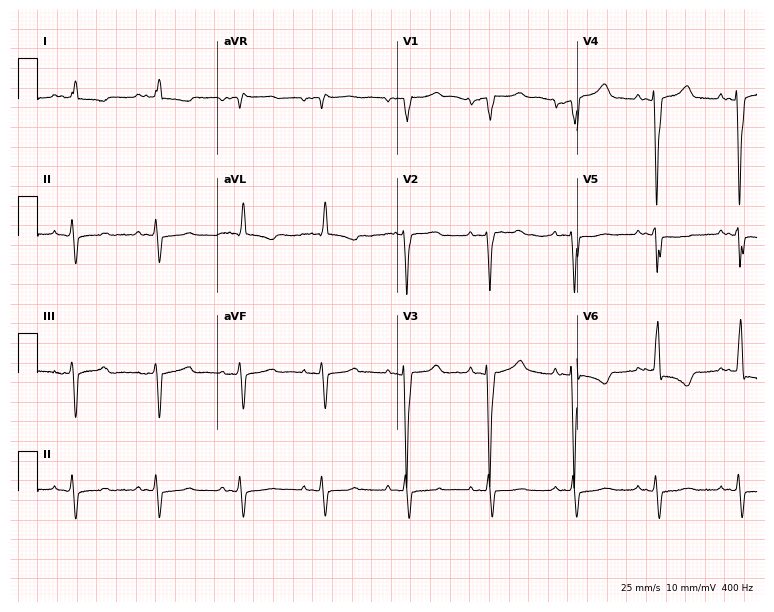
Standard 12-lead ECG recorded from an 82-year-old woman. None of these six findings is recorded: first-degree AV block, right bundle branch block, left bundle branch block, sinus bradycardia, atrial fibrillation, sinus tachycardia.